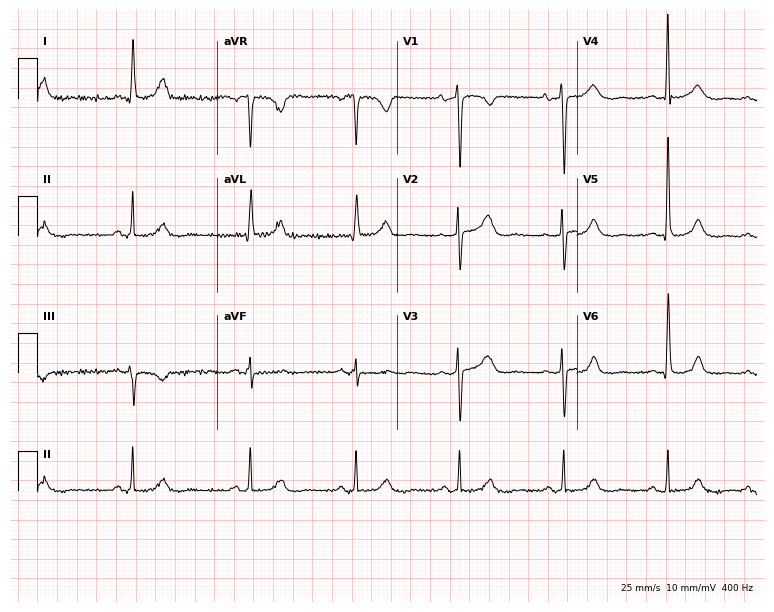
12-lead ECG (7.3-second recording at 400 Hz) from a 76-year-old female. Screened for six findings — first-degree AV block, right bundle branch block (RBBB), left bundle branch block (LBBB), sinus bradycardia, atrial fibrillation (AF), sinus tachycardia — none is recorded. Only these six findings were labelled.